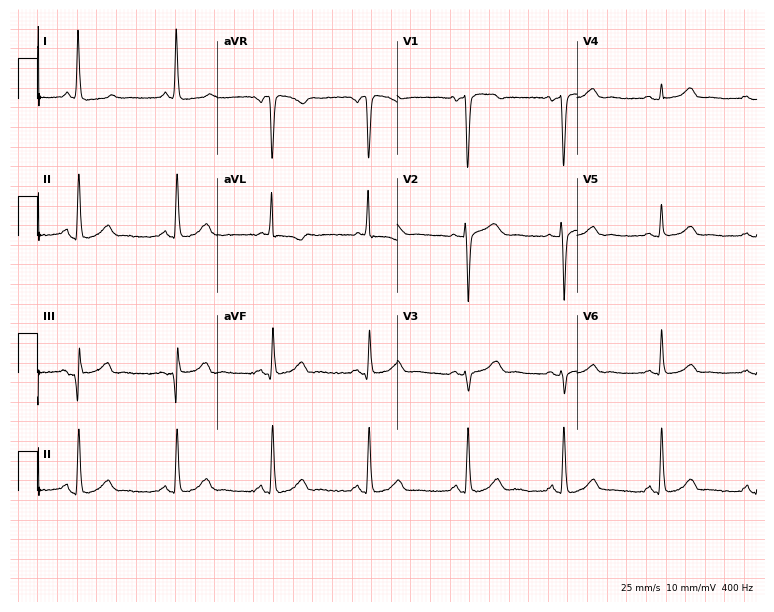
12-lead ECG from a 69-year-old female patient (7.3-second recording at 400 Hz). Recorded interpretation: within normal limits.